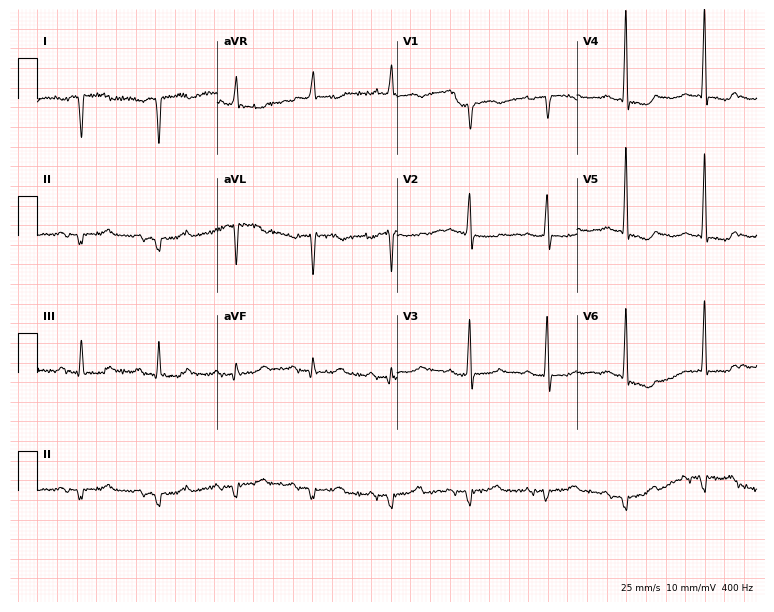
Standard 12-lead ECG recorded from a 71-year-old woman. None of these six findings is recorded: first-degree AV block, right bundle branch block (RBBB), left bundle branch block (LBBB), sinus bradycardia, atrial fibrillation (AF), sinus tachycardia.